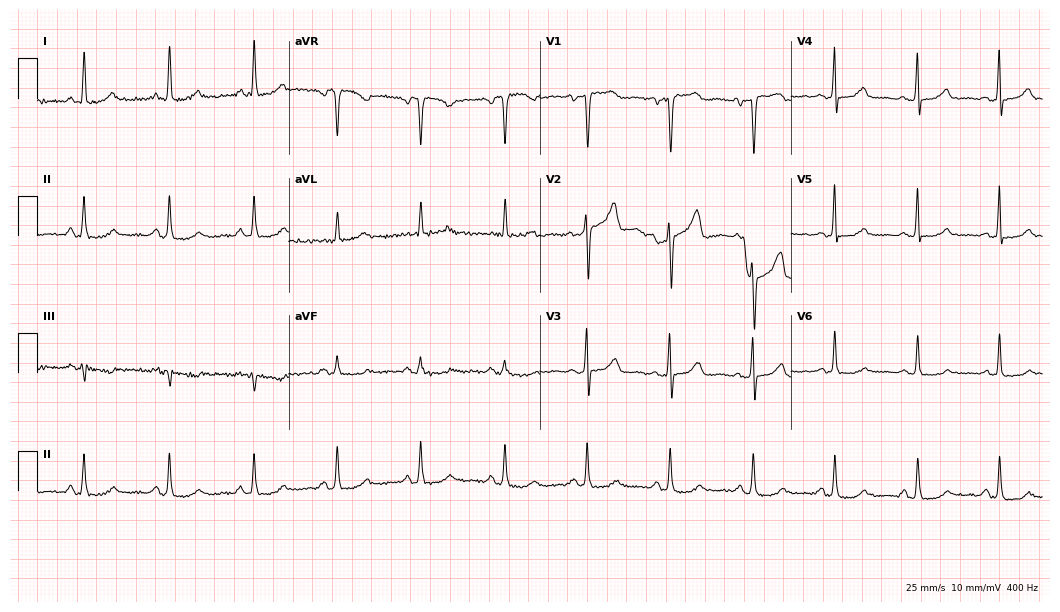
Electrocardiogram (10.2-second recording at 400 Hz), a 53-year-old female. Of the six screened findings (first-degree AV block, right bundle branch block (RBBB), left bundle branch block (LBBB), sinus bradycardia, atrial fibrillation (AF), sinus tachycardia), none is recorded.